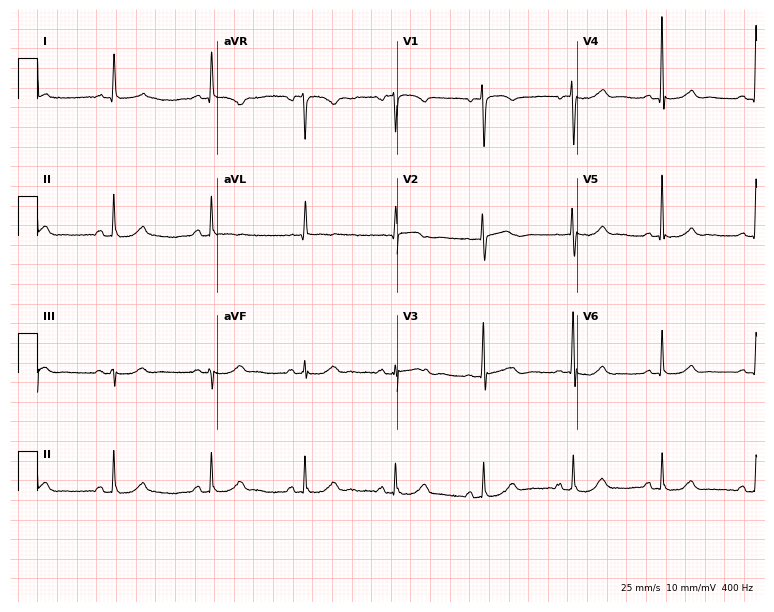
12-lead ECG from a woman, 77 years old. No first-degree AV block, right bundle branch block, left bundle branch block, sinus bradycardia, atrial fibrillation or sinus tachycardia recorded for this tracing. Only these six findings were labelled.